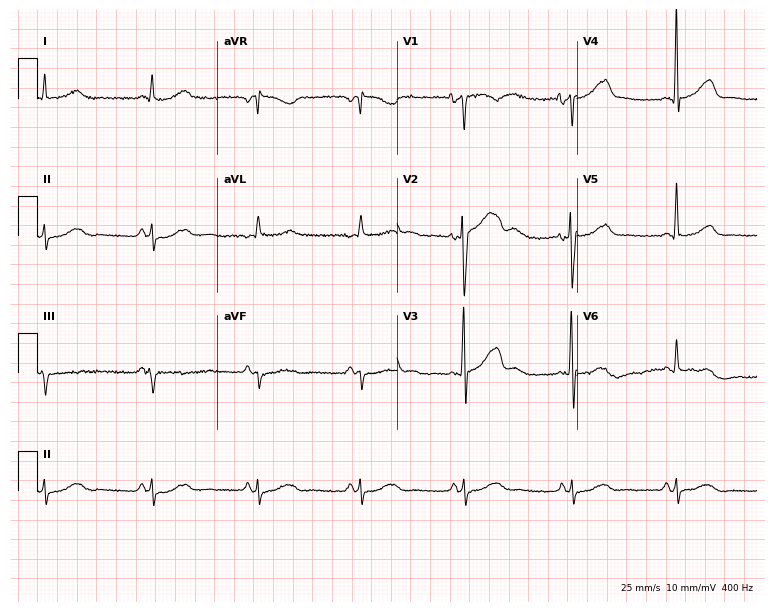
ECG — a male, 60 years old. Screened for six findings — first-degree AV block, right bundle branch block (RBBB), left bundle branch block (LBBB), sinus bradycardia, atrial fibrillation (AF), sinus tachycardia — none is recorded.